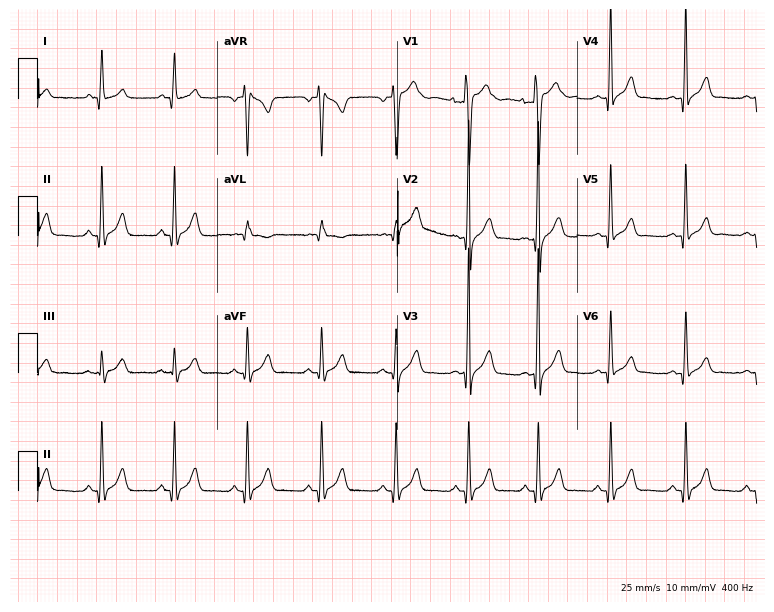
12-lead ECG from a 27-year-old male patient (7.3-second recording at 400 Hz). No first-degree AV block, right bundle branch block (RBBB), left bundle branch block (LBBB), sinus bradycardia, atrial fibrillation (AF) or sinus tachycardia recorded for this tracing. Other findings, if any, are not listed.